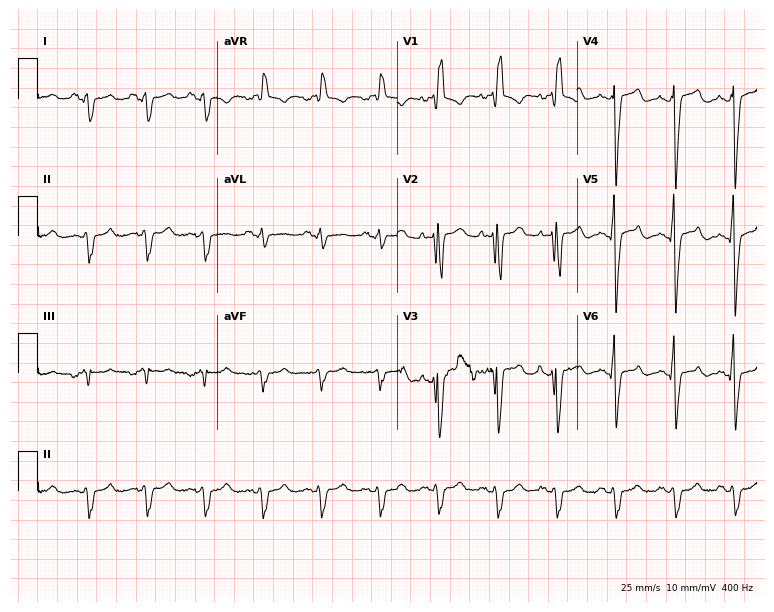
Resting 12-lead electrocardiogram. Patient: a male, 58 years old. The tracing shows right bundle branch block (RBBB), sinus tachycardia (a sinus rate of 100 beats per minute or more).